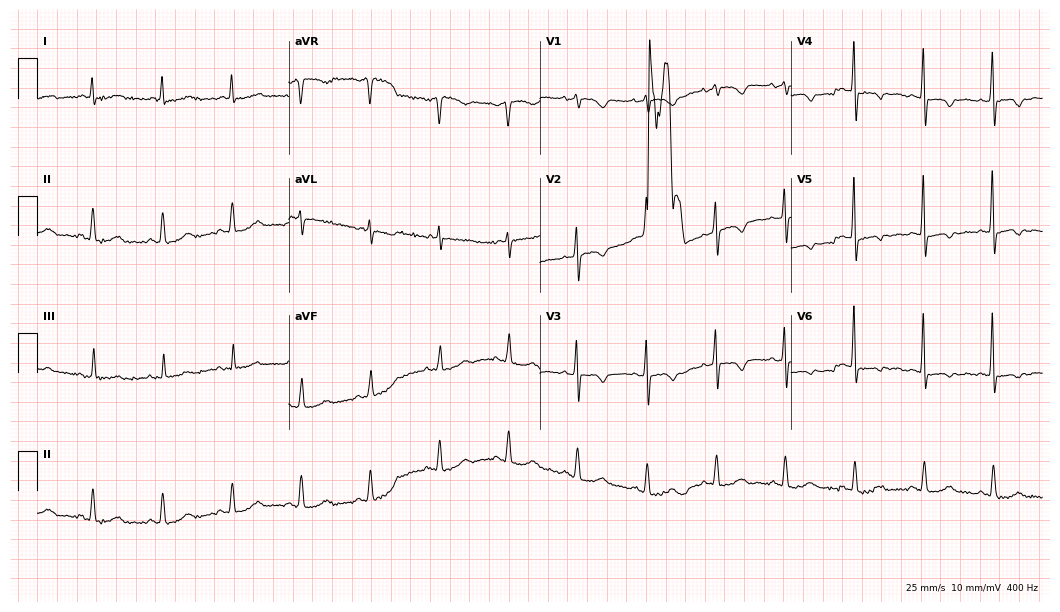
12-lead ECG from a 73-year-old woman (10.2-second recording at 400 Hz). No first-degree AV block, right bundle branch block, left bundle branch block, sinus bradycardia, atrial fibrillation or sinus tachycardia recorded for this tracing. Other findings, if any, are not listed.